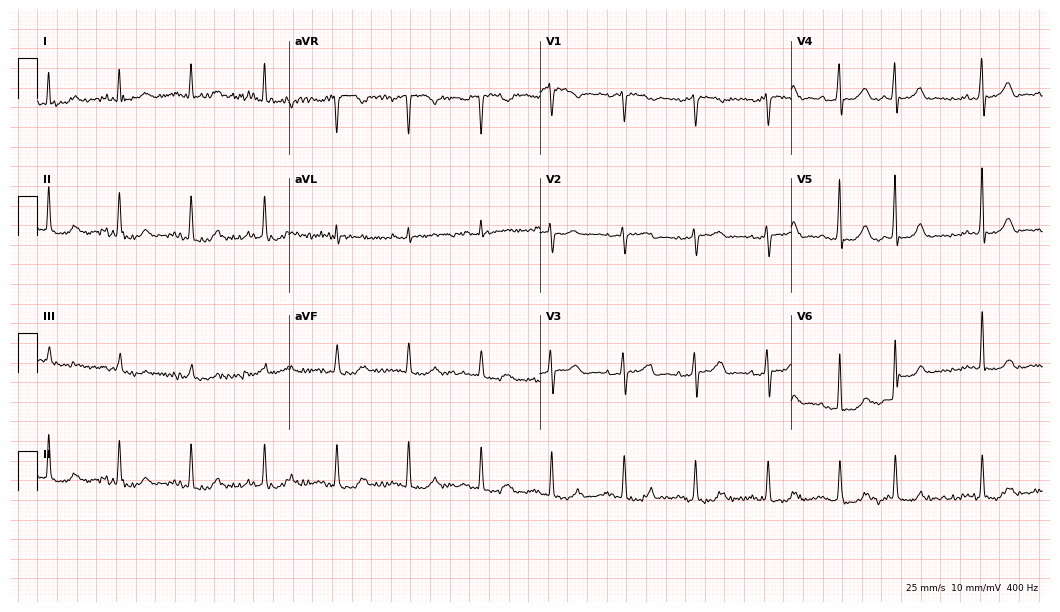
ECG (10.2-second recording at 400 Hz) — a male patient, 80 years old. Screened for six findings — first-degree AV block, right bundle branch block, left bundle branch block, sinus bradycardia, atrial fibrillation, sinus tachycardia — none is recorded.